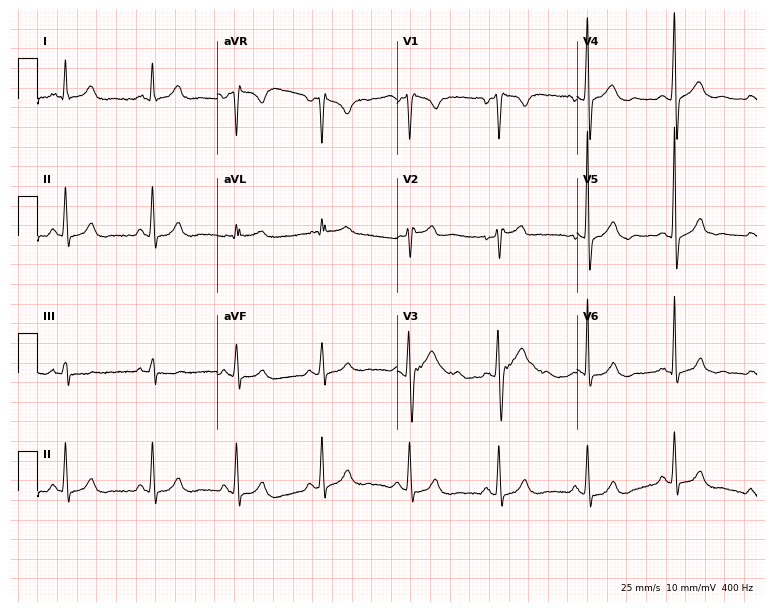
12-lead ECG from a 44-year-old male patient. No first-degree AV block, right bundle branch block, left bundle branch block, sinus bradycardia, atrial fibrillation or sinus tachycardia recorded for this tracing. Other findings, if any, are not listed.